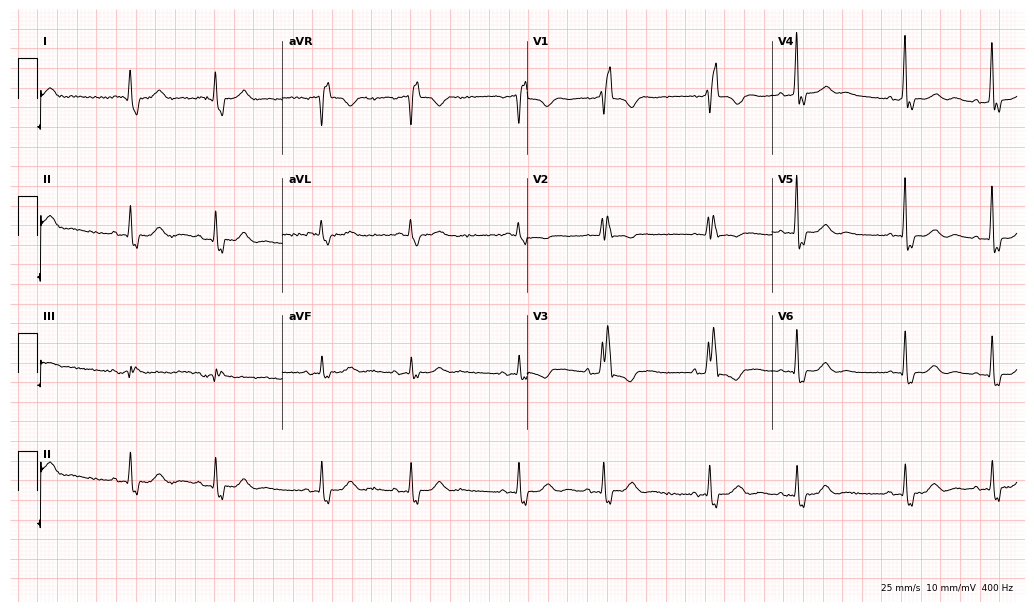
Standard 12-lead ECG recorded from a 71-year-old female. The tracing shows right bundle branch block.